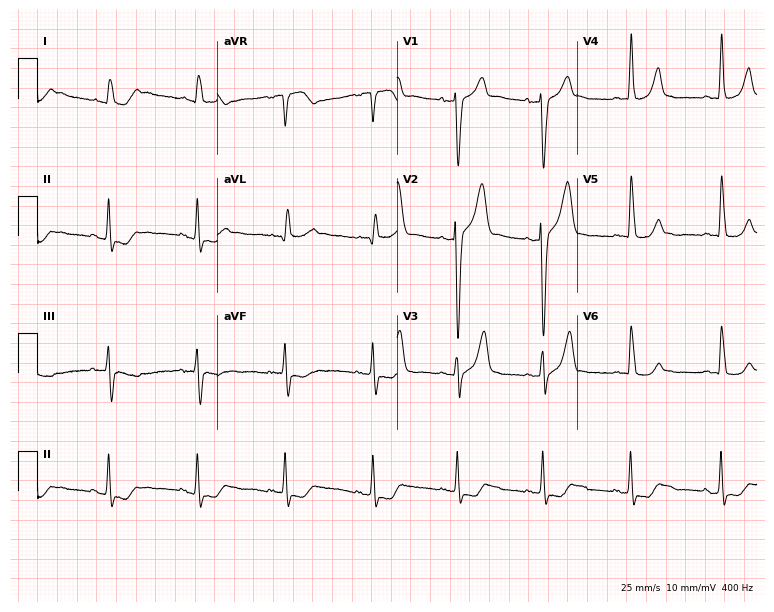
Standard 12-lead ECG recorded from a 70-year-old male. None of these six findings is recorded: first-degree AV block, right bundle branch block (RBBB), left bundle branch block (LBBB), sinus bradycardia, atrial fibrillation (AF), sinus tachycardia. Findings outside these six are not listed.